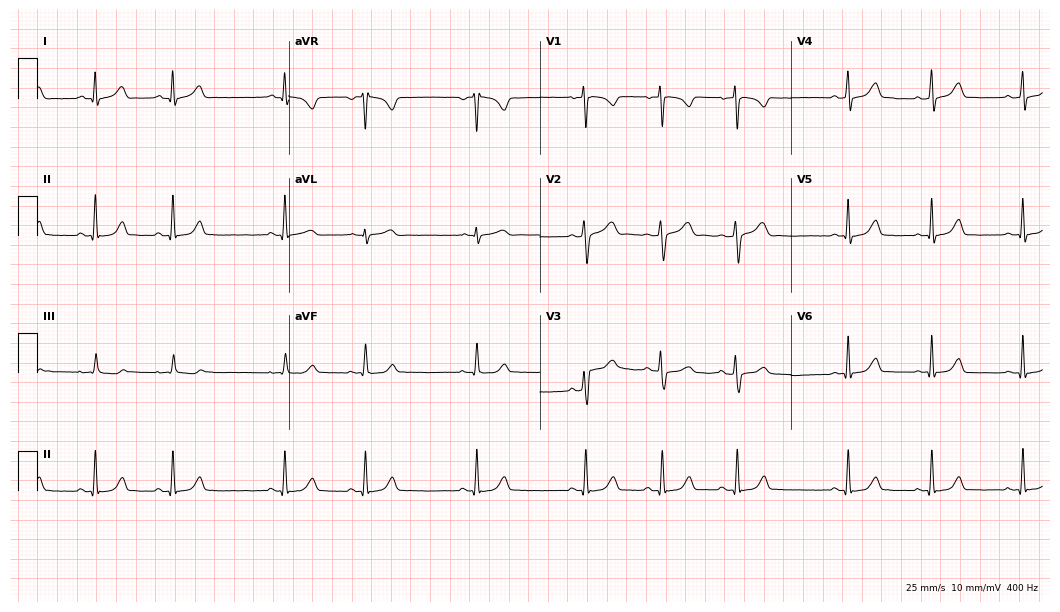
Electrocardiogram (10.2-second recording at 400 Hz), a woman, 19 years old. Overall reading on record: normal ECG.